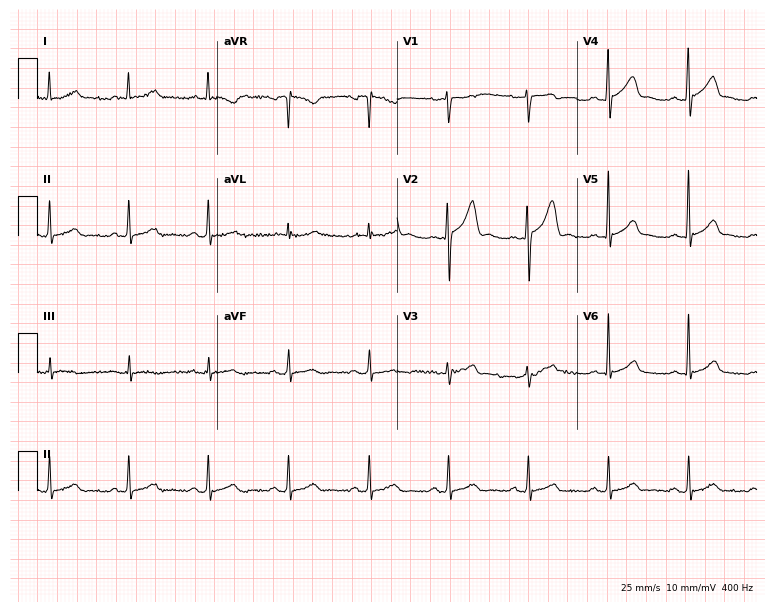
Electrocardiogram (7.3-second recording at 400 Hz), a man, 32 years old. Overall reading on record: normal ECG.